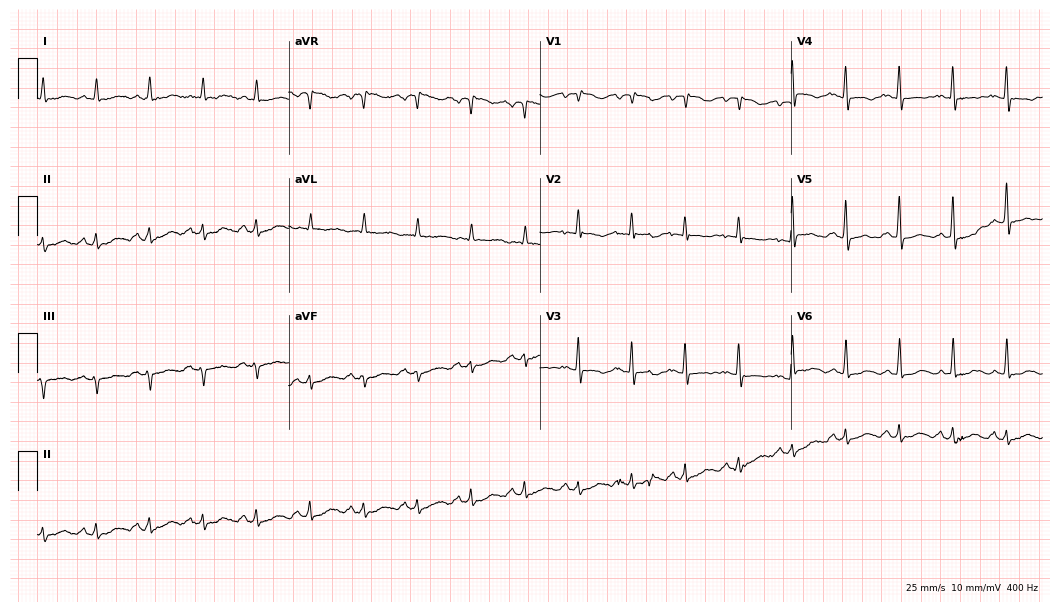
Resting 12-lead electrocardiogram (10.2-second recording at 400 Hz). Patient: an 84-year-old woman. The tracing shows sinus tachycardia (a sinus rate of 100 beats per minute or more).